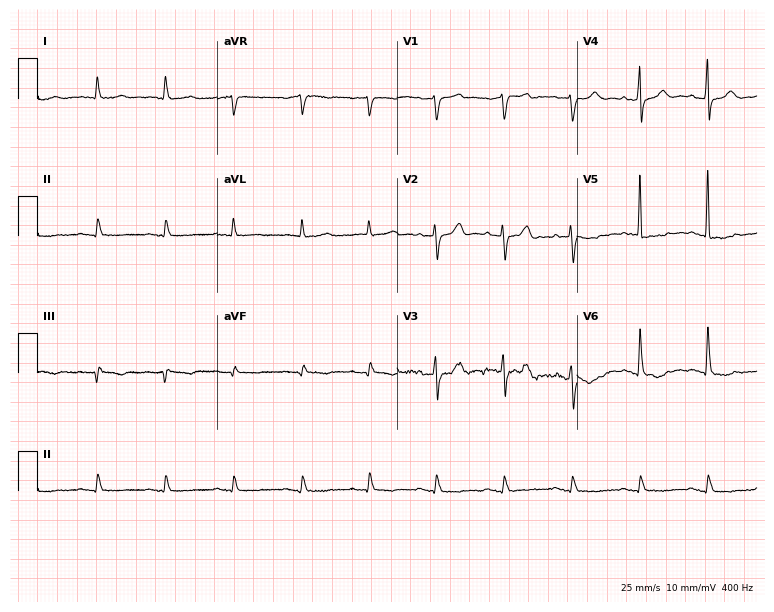
Resting 12-lead electrocardiogram. Patient: a 79-year-old man. None of these six findings is recorded: first-degree AV block, right bundle branch block, left bundle branch block, sinus bradycardia, atrial fibrillation, sinus tachycardia. Only these six findings were labelled.